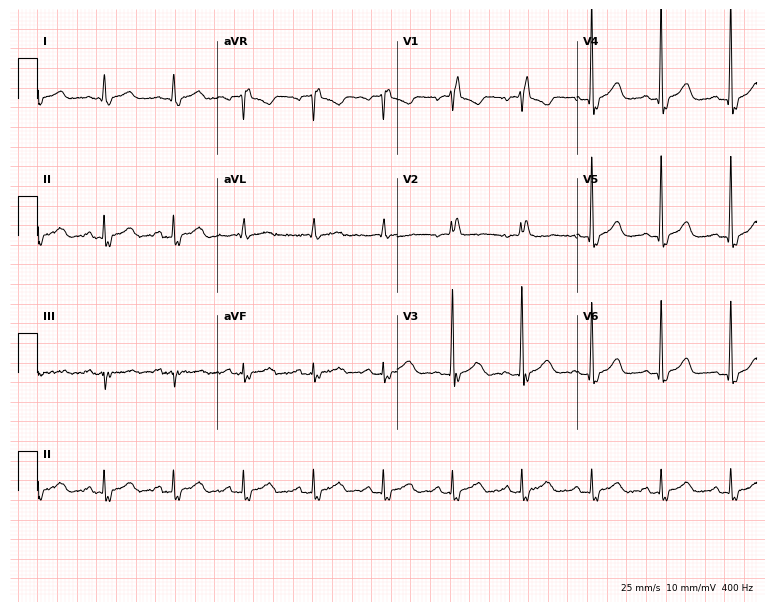
Electrocardiogram (7.3-second recording at 400 Hz), a 60-year-old female patient. Interpretation includes right bundle branch block.